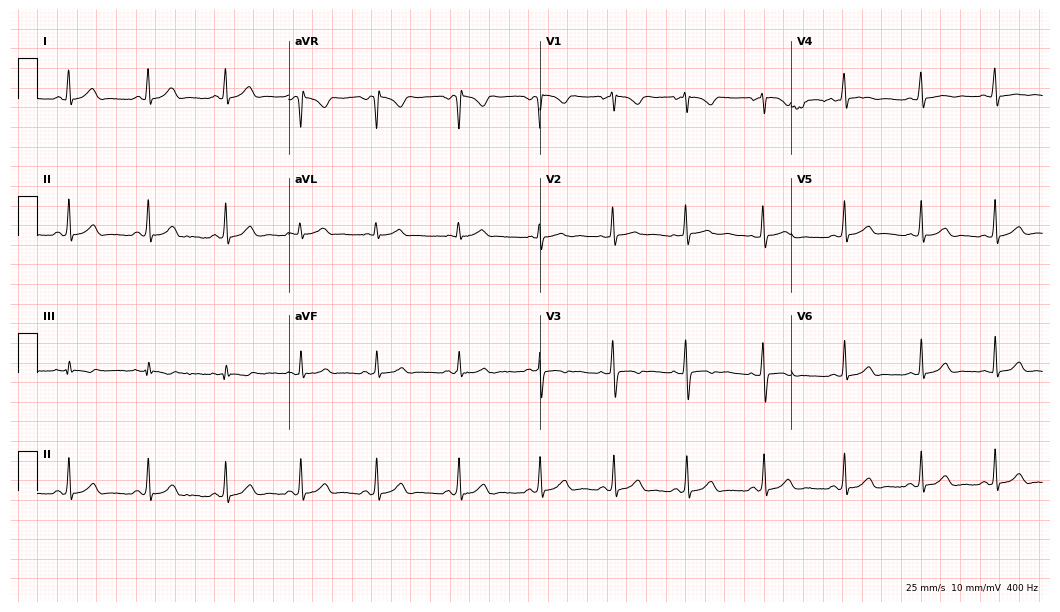
Standard 12-lead ECG recorded from a female patient, 22 years old. Read as a normal ECG.